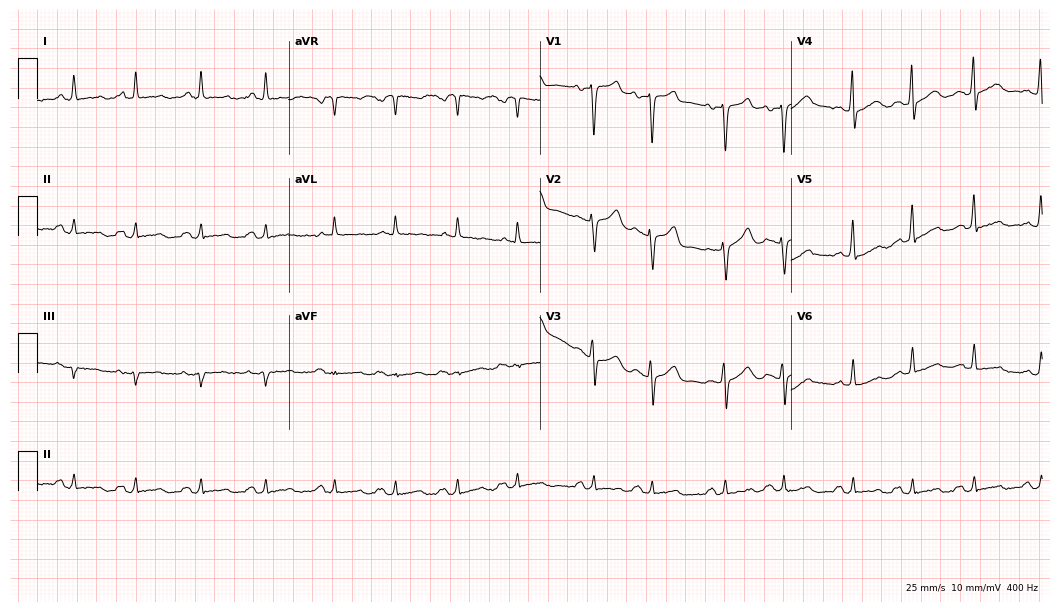
12-lead ECG from an 80-year-old male. Recorded interpretation: within normal limits.